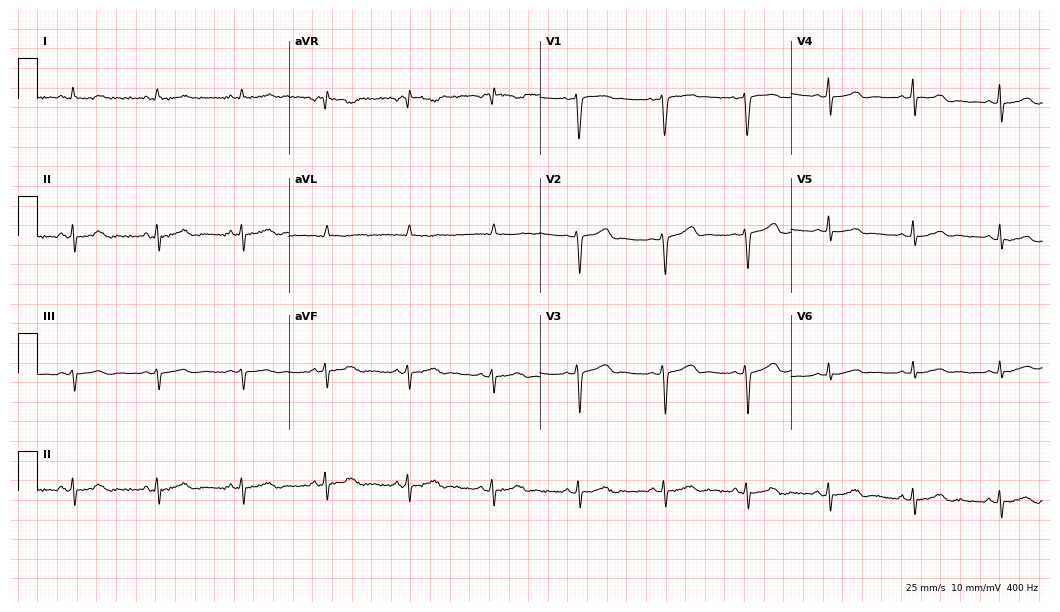
Resting 12-lead electrocardiogram. Patient: a female, 43 years old. None of these six findings is recorded: first-degree AV block, right bundle branch block, left bundle branch block, sinus bradycardia, atrial fibrillation, sinus tachycardia.